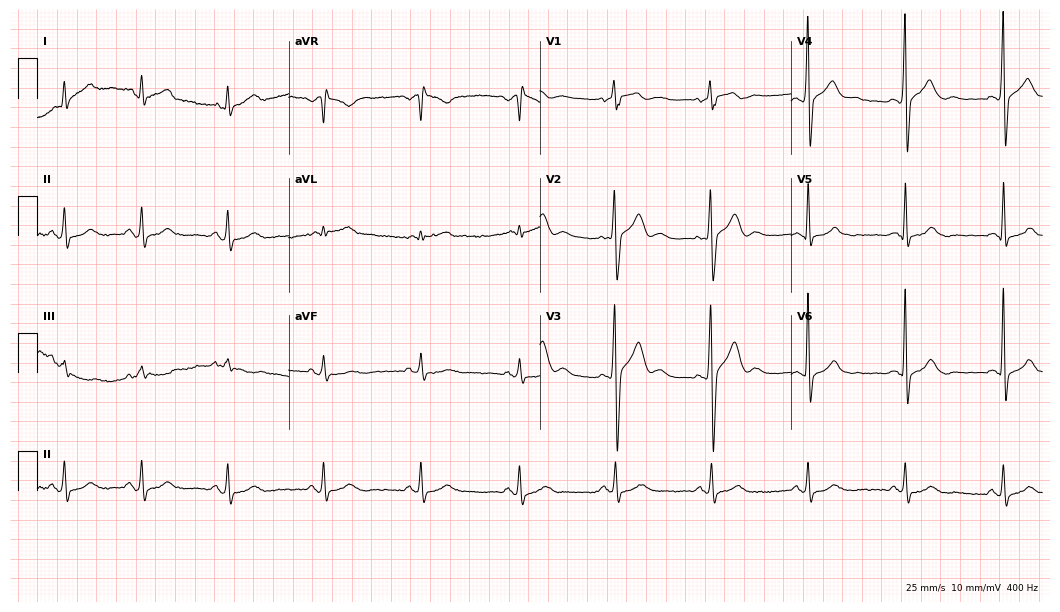
Electrocardiogram, a 32-year-old male. Of the six screened findings (first-degree AV block, right bundle branch block, left bundle branch block, sinus bradycardia, atrial fibrillation, sinus tachycardia), none is recorded. Only these six findings were labelled.